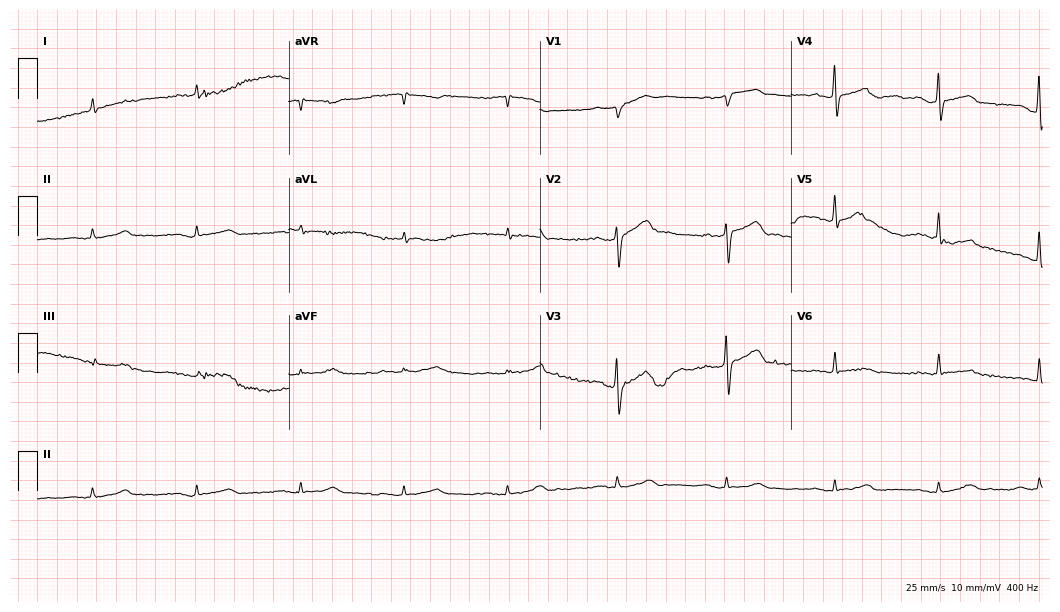
Electrocardiogram (10.2-second recording at 400 Hz), a 69-year-old male patient. Of the six screened findings (first-degree AV block, right bundle branch block, left bundle branch block, sinus bradycardia, atrial fibrillation, sinus tachycardia), none is recorded. Other findings, if any, are not listed.